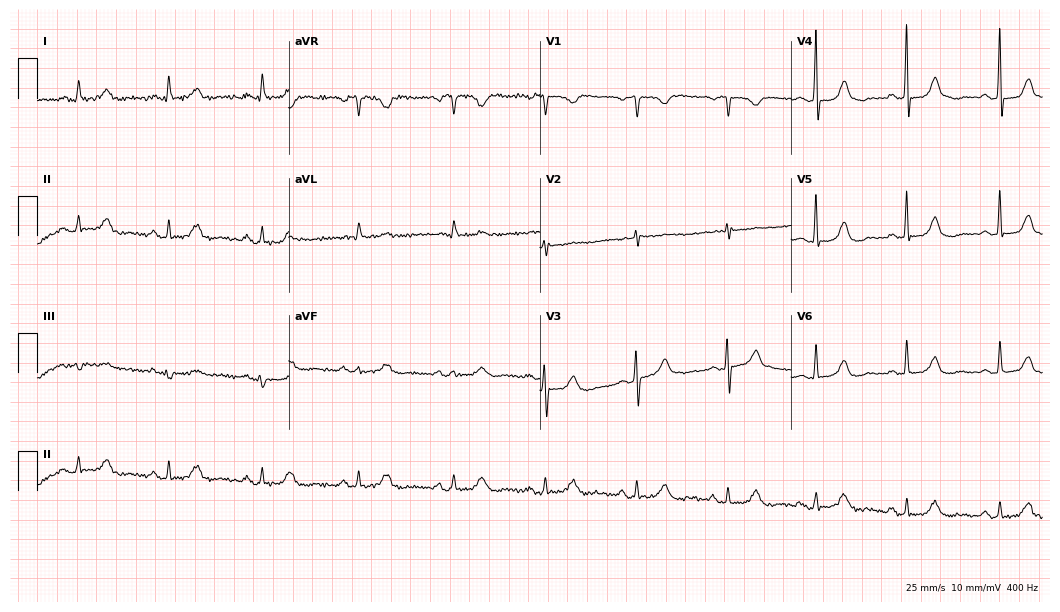
12-lead ECG from a female, 71 years old (10.2-second recording at 400 Hz). Recorded interpretation: within normal limits.